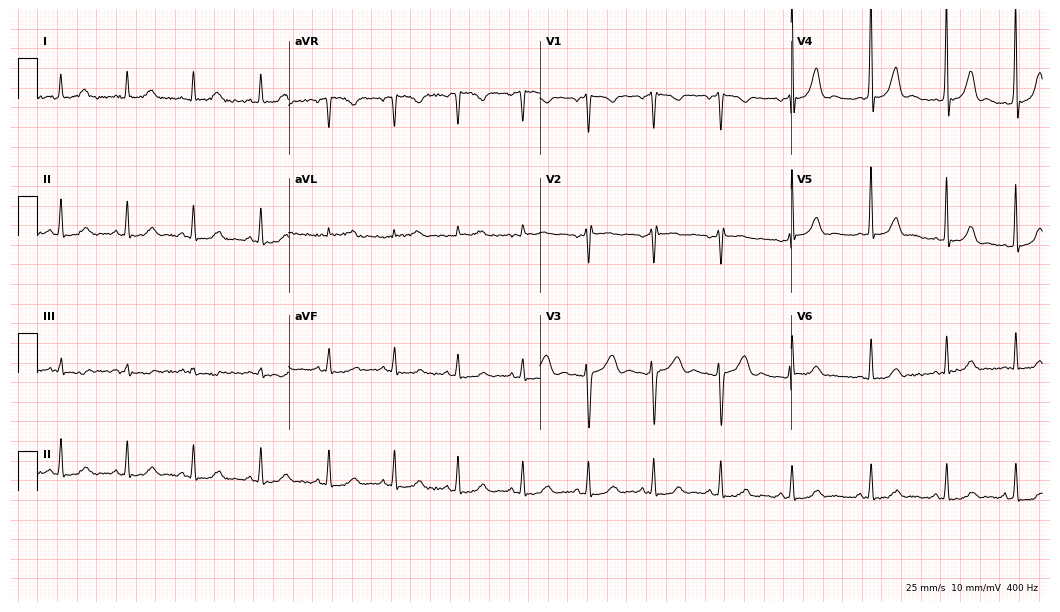
12-lead ECG from a 38-year-old female patient. No first-degree AV block, right bundle branch block, left bundle branch block, sinus bradycardia, atrial fibrillation or sinus tachycardia recorded for this tracing.